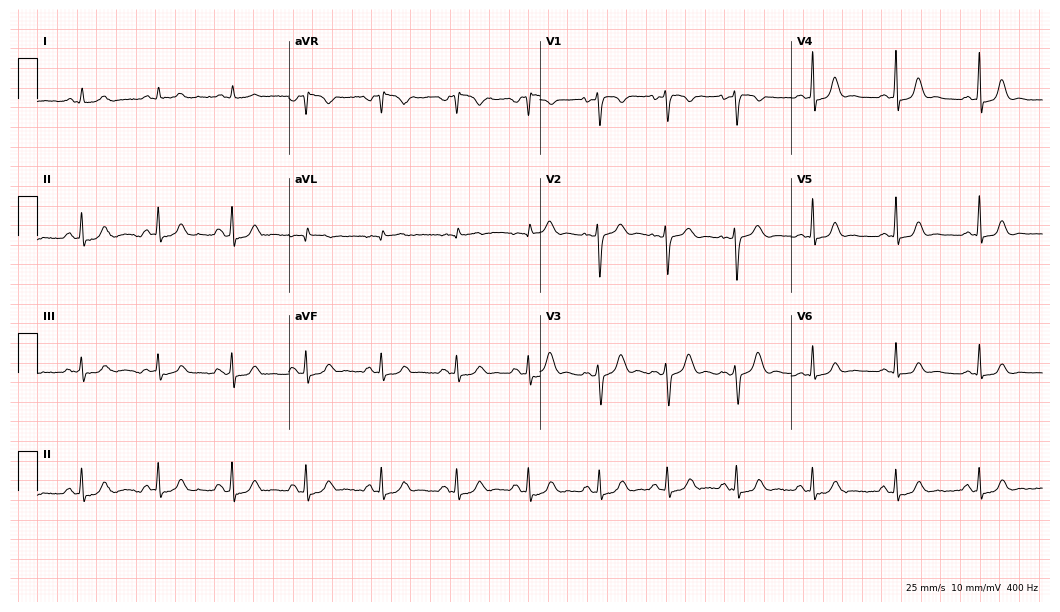
Resting 12-lead electrocardiogram (10.2-second recording at 400 Hz). Patient: a 33-year-old female. None of these six findings is recorded: first-degree AV block, right bundle branch block (RBBB), left bundle branch block (LBBB), sinus bradycardia, atrial fibrillation (AF), sinus tachycardia. Findings outside these six are not listed.